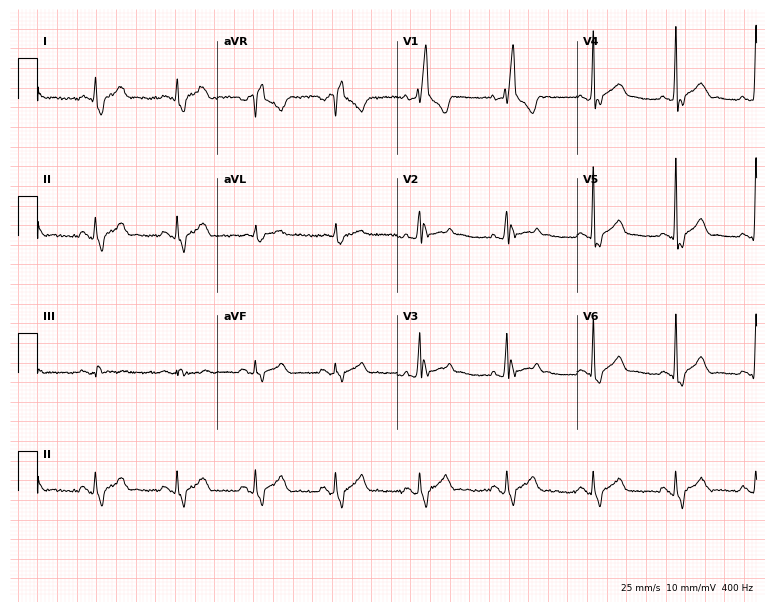
Resting 12-lead electrocardiogram (7.3-second recording at 400 Hz). Patient: a 31-year-old male. The tracing shows right bundle branch block.